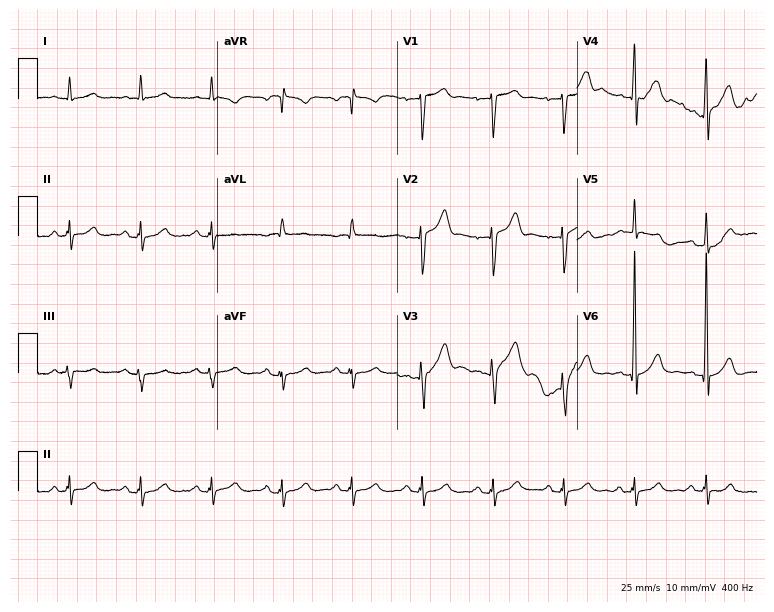
ECG — a male, 70 years old. Screened for six findings — first-degree AV block, right bundle branch block (RBBB), left bundle branch block (LBBB), sinus bradycardia, atrial fibrillation (AF), sinus tachycardia — none is recorded.